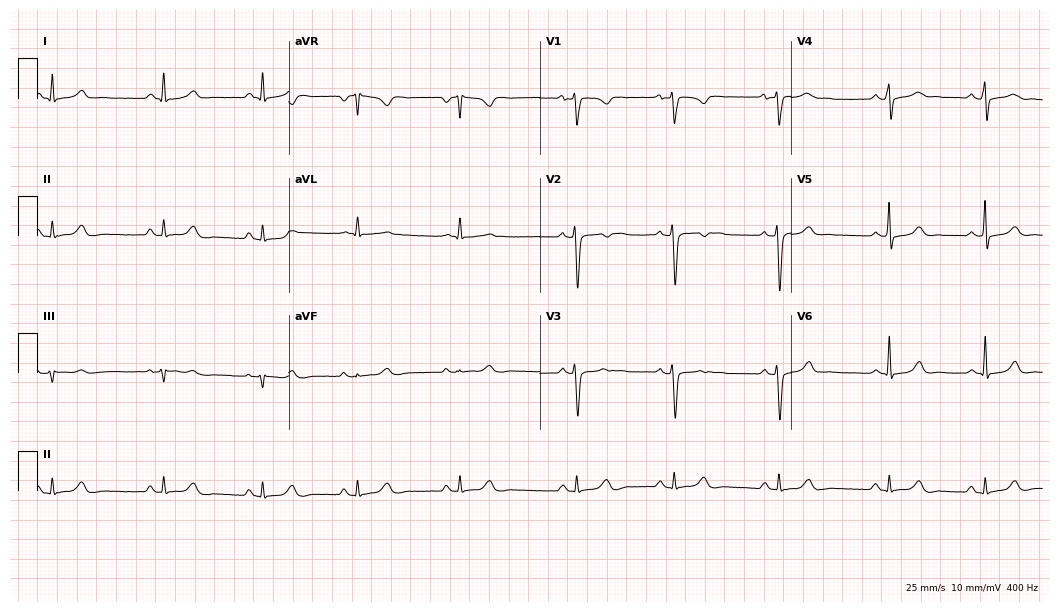
12-lead ECG (10.2-second recording at 400 Hz) from a 19-year-old female patient. Labelled as a normal ECG.